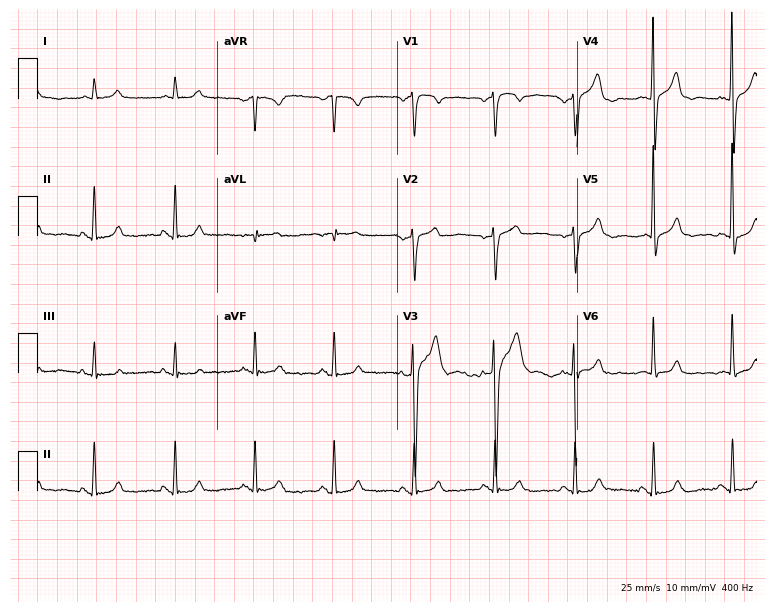
Standard 12-lead ECG recorded from an 81-year-old male patient. None of these six findings is recorded: first-degree AV block, right bundle branch block, left bundle branch block, sinus bradycardia, atrial fibrillation, sinus tachycardia.